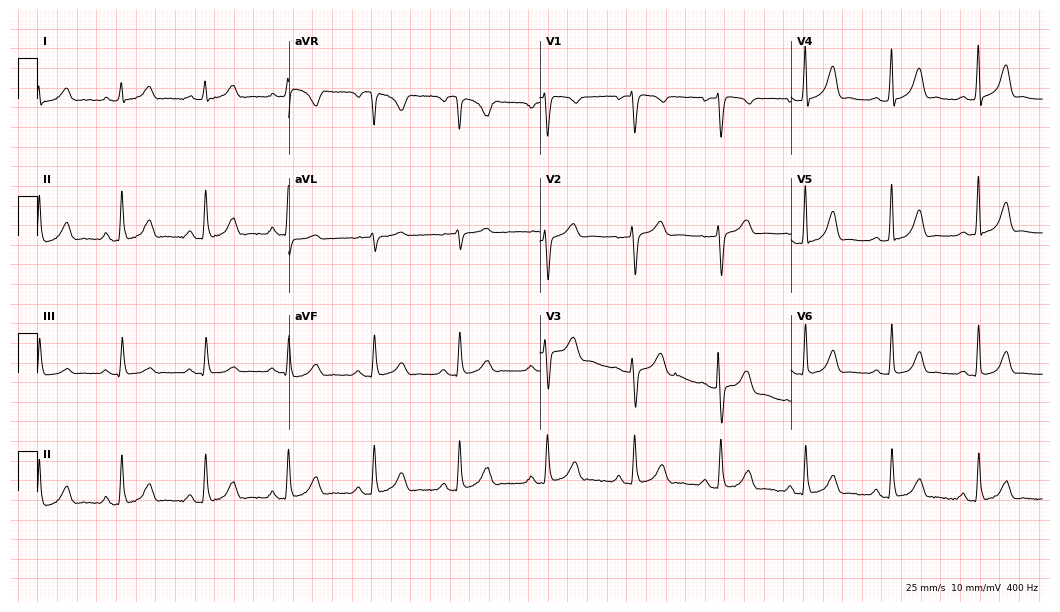
Resting 12-lead electrocardiogram (10.2-second recording at 400 Hz). Patient: a 38-year-old female. Read as a normal ECG.